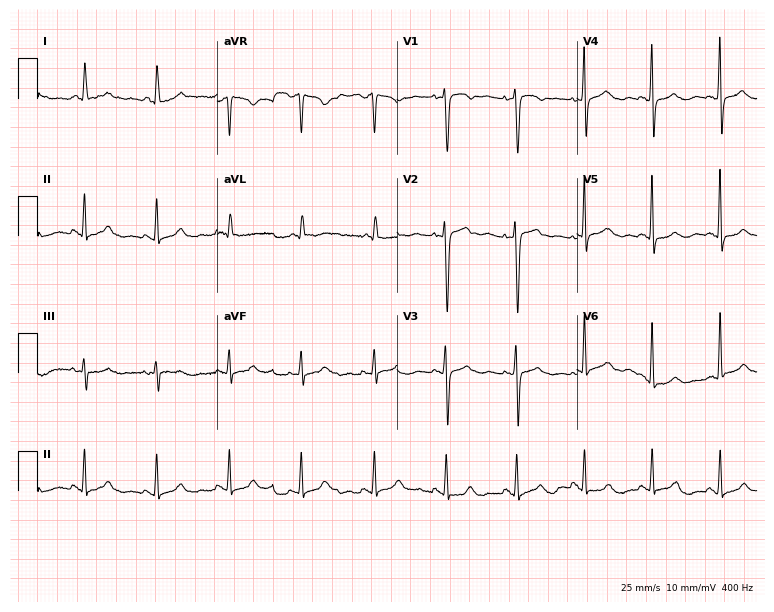
12-lead ECG from a woman, 26 years old (7.3-second recording at 400 Hz). Recorded interpretation: within normal limits.